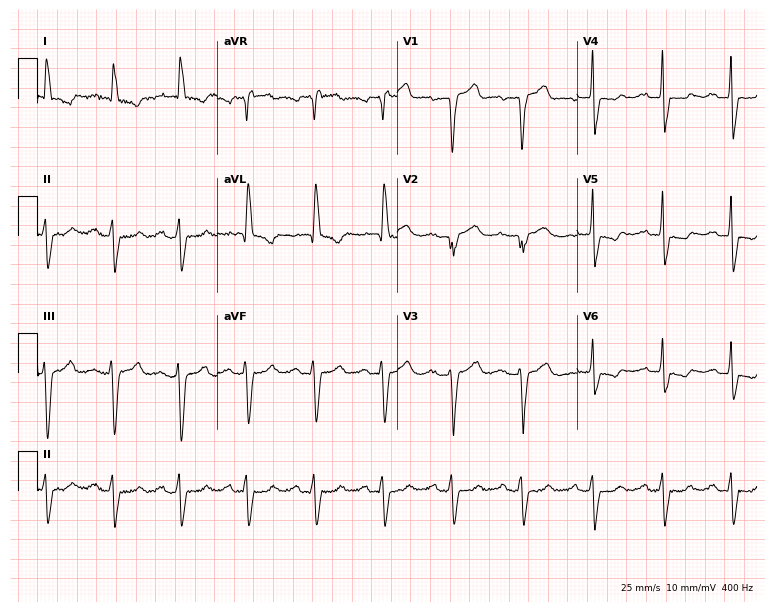
Standard 12-lead ECG recorded from a man, 67 years old. The tracing shows left bundle branch block (LBBB).